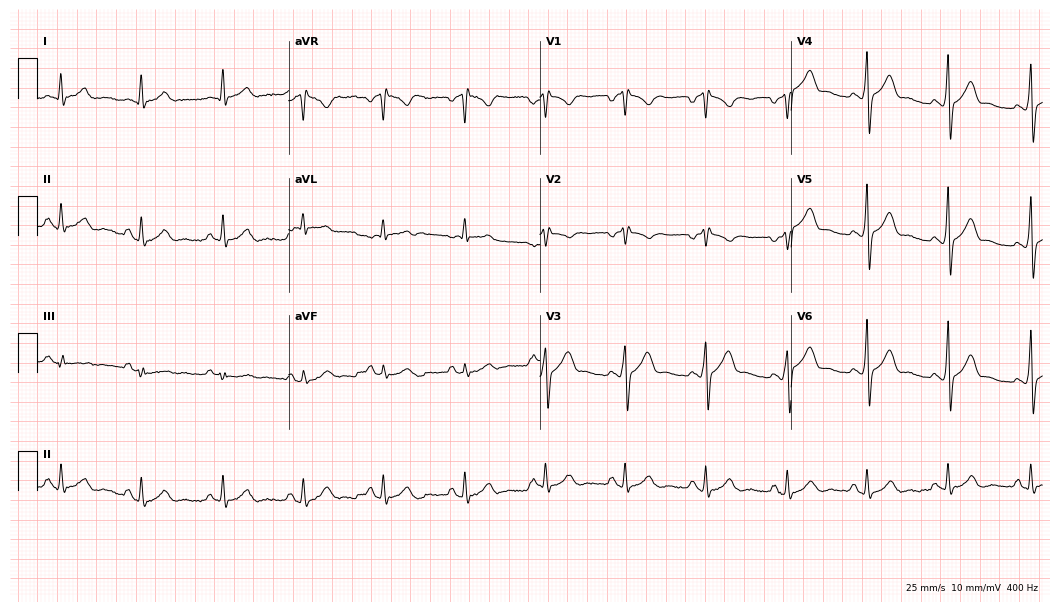
12-lead ECG (10.2-second recording at 400 Hz) from a man, 44 years old. Screened for six findings — first-degree AV block, right bundle branch block, left bundle branch block, sinus bradycardia, atrial fibrillation, sinus tachycardia — none is recorded. Findings outside these six are not listed.